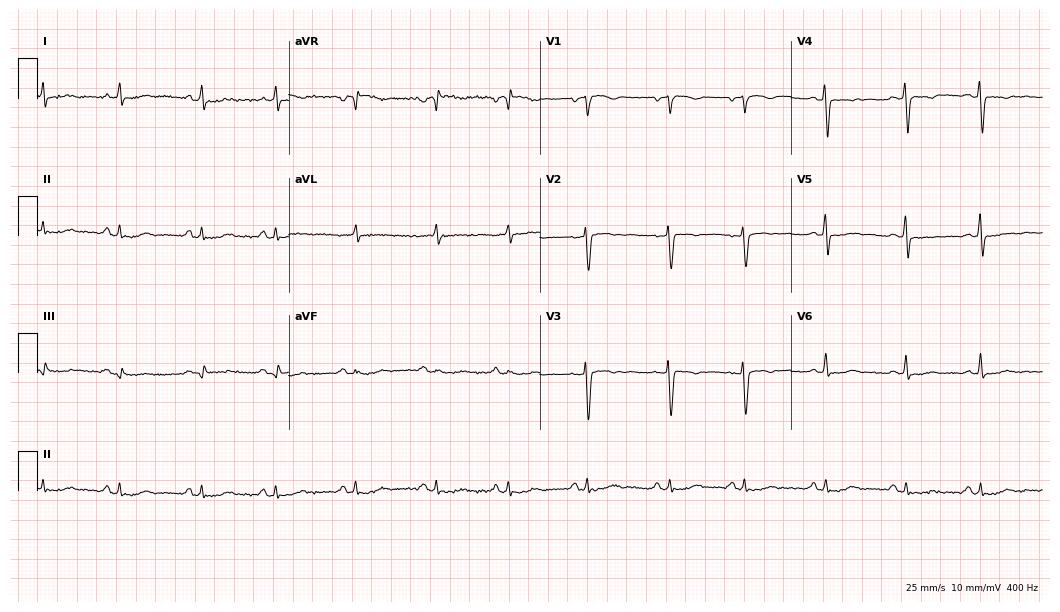
Standard 12-lead ECG recorded from a female patient, 45 years old (10.2-second recording at 400 Hz). None of these six findings is recorded: first-degree AV block, right bundle branch block, left bundle branch block, sinus bradycardia, atrial fibrillation, sinus tachycardia. Other findings, if any, are not listed.